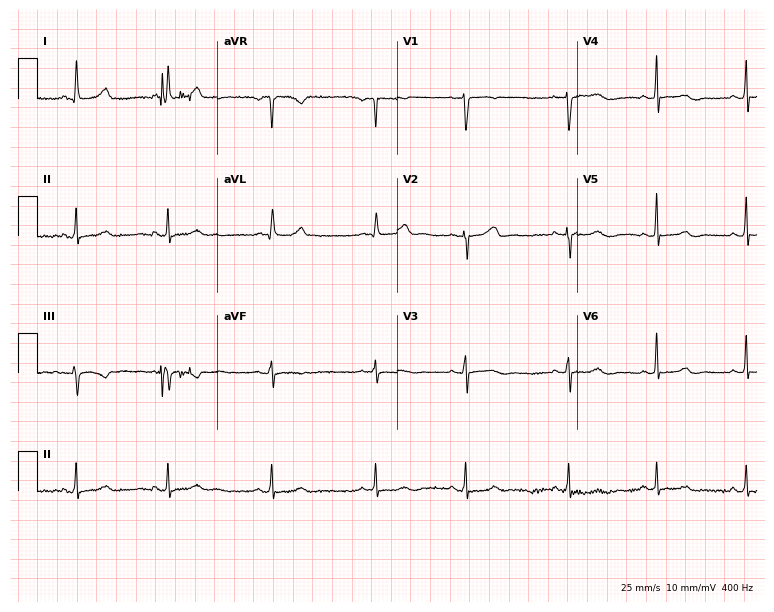
Electrocardiogram (7.3-second recording at 400 Hz), a female, 27 years old. Of the six screened findings (first-degree AV block, right bundle branch block, left bundle branch block, sinus bradycardia, atrial fibrillation, sinus tachycardia), none is recorded. Only these six findings were labelled.